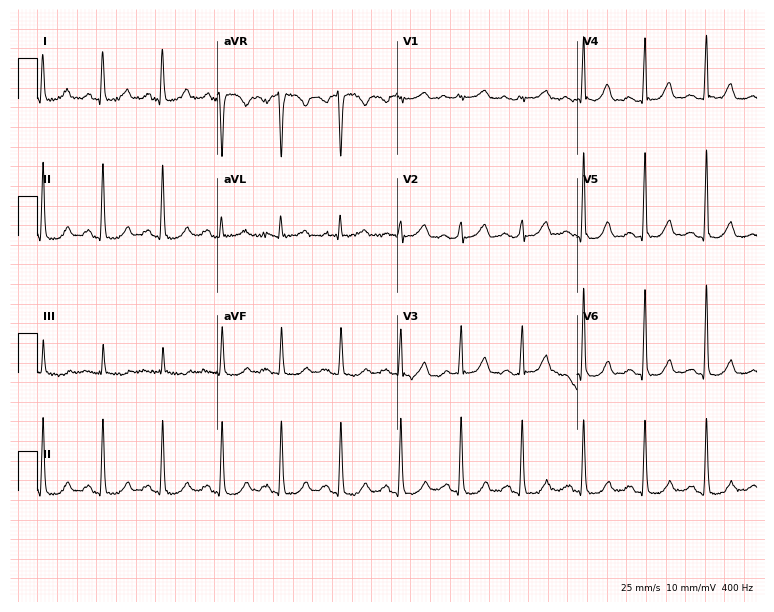
Standard 12-lead ECG recorded from a woman, 62 years old (7.3-second recording at 400 Hz). Read as a normal ECG.